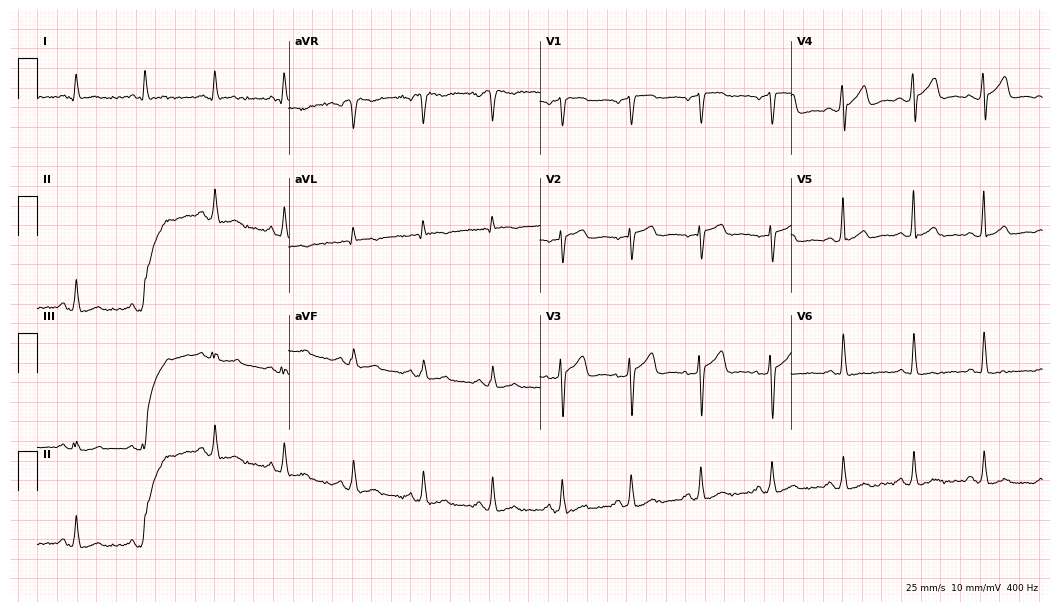
12-lead ECG from a 54-year-old male (10.2-second recording at 400 Hz). No first-degree AV block, right bundle branch block, left bundle branch block, sinus bradycardia, atrial fibrillation or sinus tachycardia recorded for this tracing.